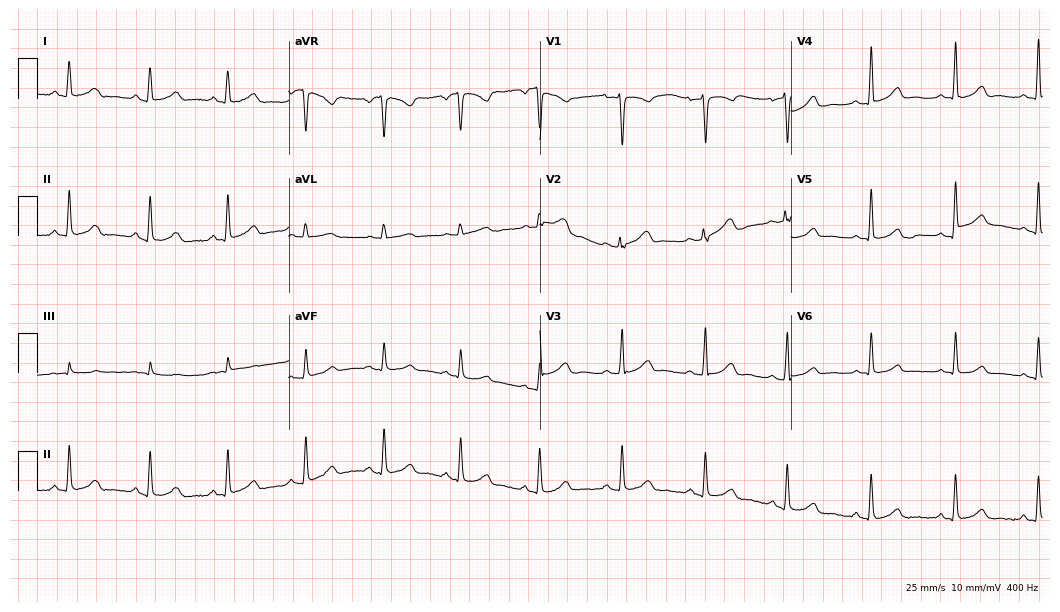
ECG — a 35-year-old woman. Labelled as a normal ECG.